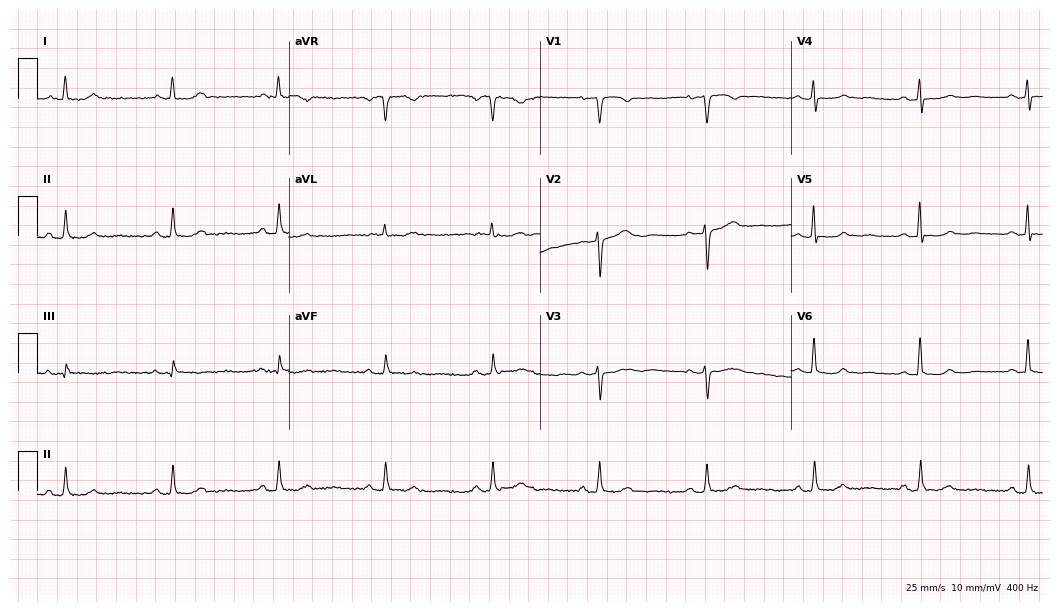
ECG (10.2-second recording at 400 Hz) — a 61-year-old woman. Screened for six findings — first-degree AV block, right bundle branch block (RBBB), left bundle branch block (LBBB), sinus bradycardia, atrial fibrillation (AF), sinus tachycardia — none is recorded. Only these six findings were labelled.